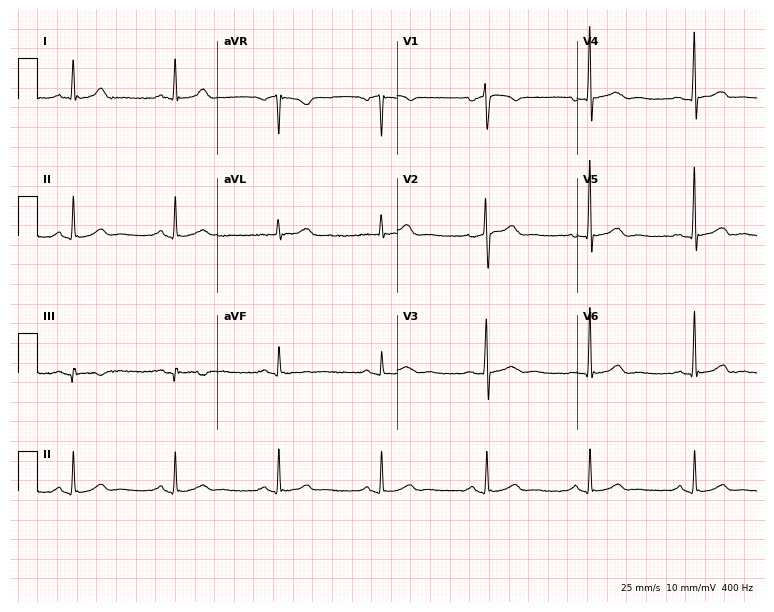
Standard 12-lead ECG recorded from a male patient, 61 years old. Read as a normal ECG.